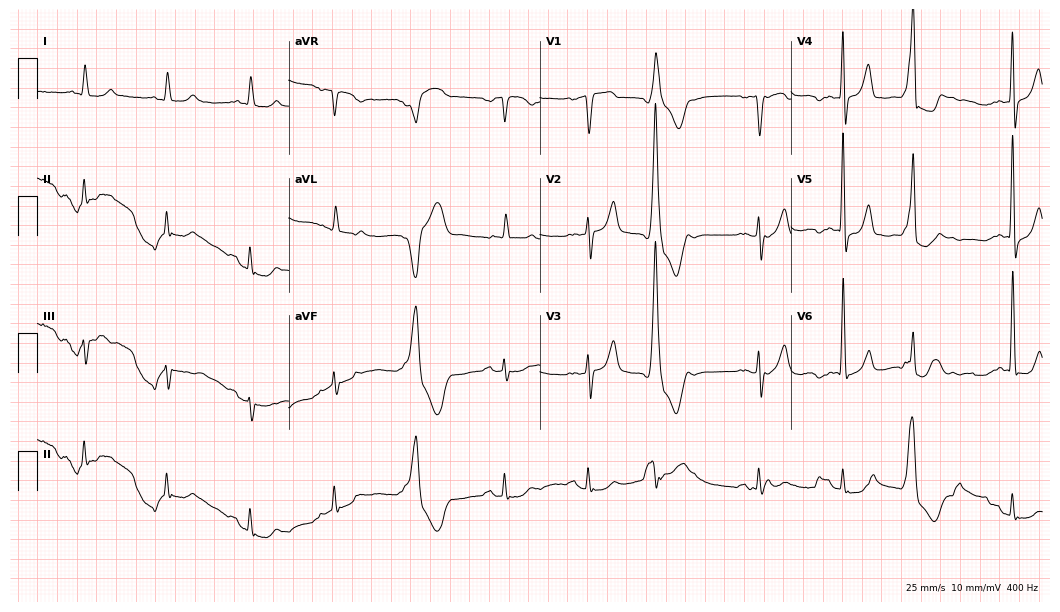
12-lead ECG from a 78-year-old male patient. Screened for six findings — first-degree AV block, right bundle branch block, left bundle branch block, sinus bradycardia, atrial fibrillation, sinus tachycardia — none is recorded. Findings outside these six are not listed.